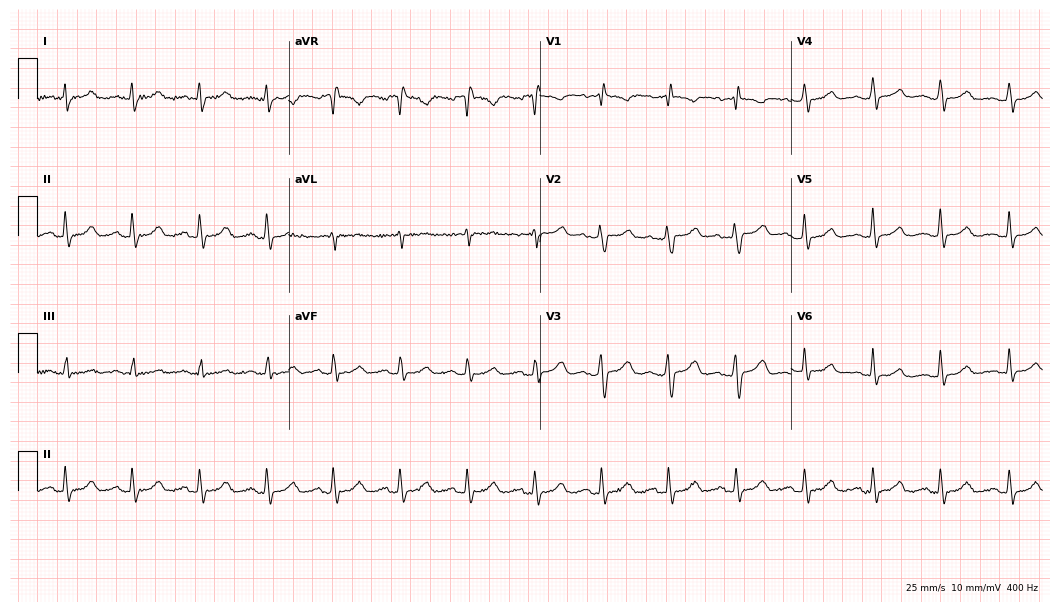
12-lead ECG from a woman, 46 years old (10.2-second recording at 400 Hz). Recorded interpretation: within normal limits.